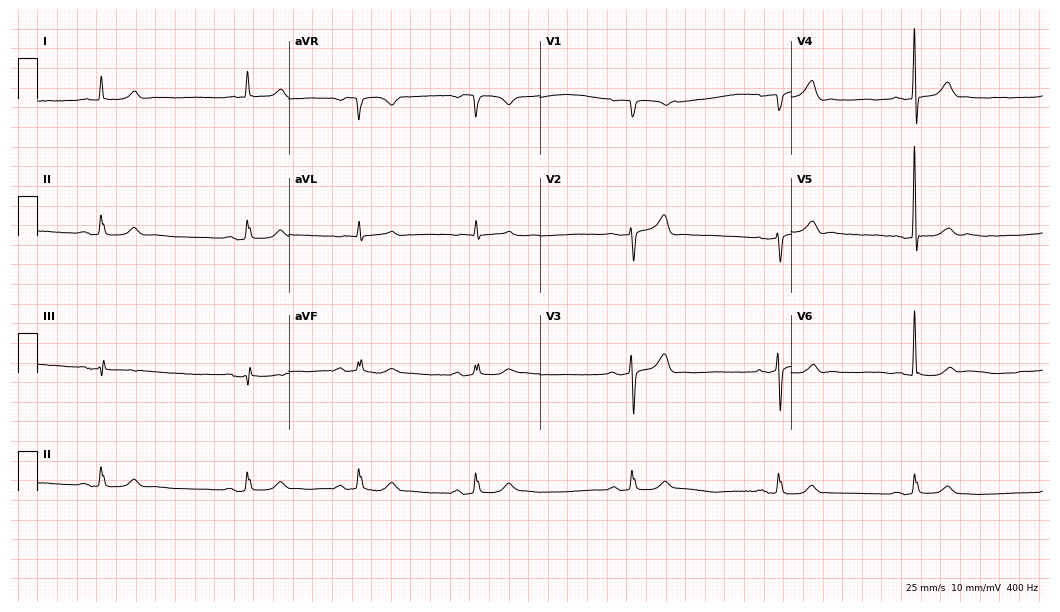
12-lead ECG from a woman, 84 years old (10.2-second recording at 400 Hz). No first-degree AV block, right bundle branch block (RBBB), left bundle branch block (LBBB), sinus bradycardia, atrial fibrillation (AF) or sinus tachycardia recorded for this tracing. Findings outside these six are not listed.